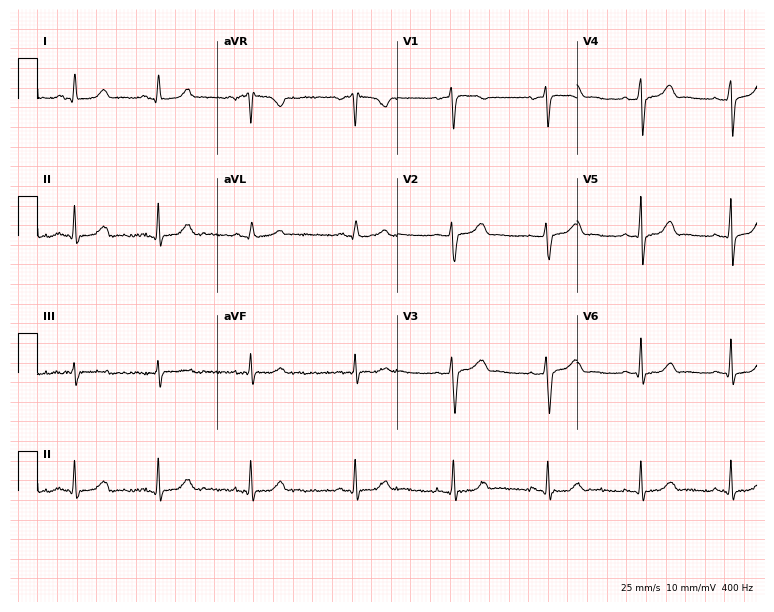
Resting 12-lead electrocardiogram. Patient: a 28-year-old female. Read as a normal ECG.